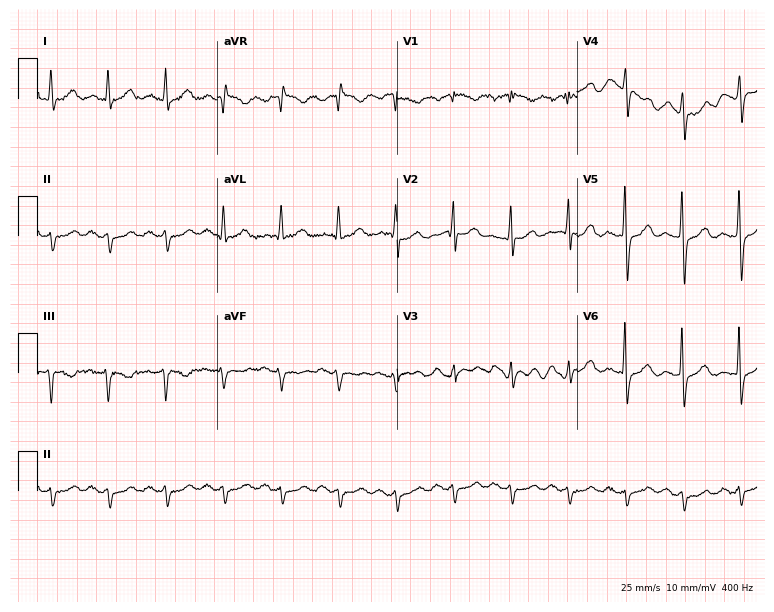
12-lead ECG from a male patient, 71 years old (7.3-second recording at 400 Hz). Shows sinus tachycardia (a sinus rate of 100 beats per minute or more).